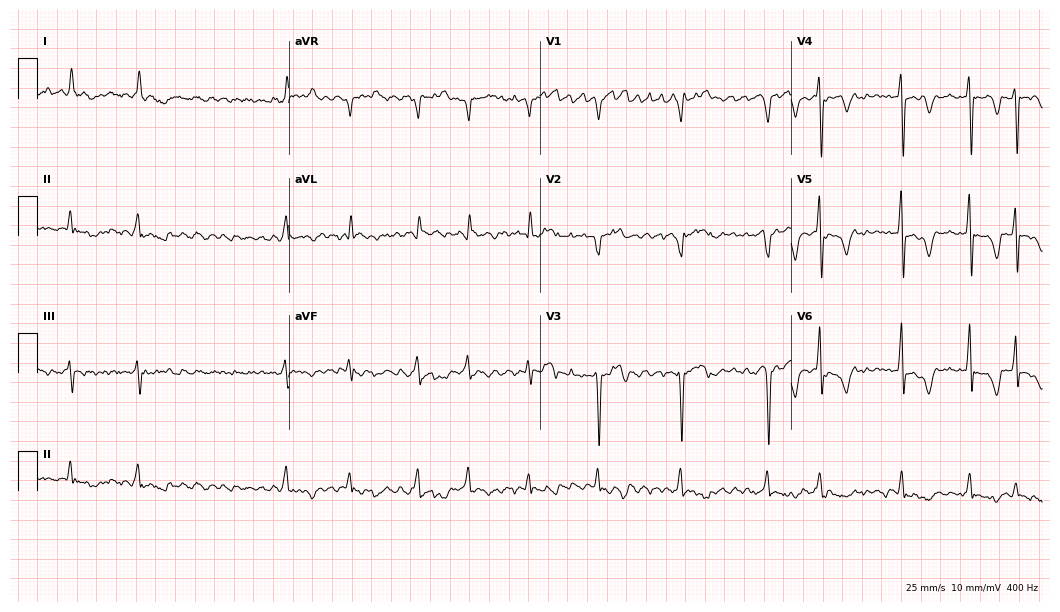
12-lead ECG from a male patient, 52 years old (10.2-second recording at 400 Hz). No first-degree AV block, right bundle branch block (RBBB), left bundle branch block (LBBB), sinus bradycardia, atrial fibrillation (AF) or sinus tachycardia recorded for this tracing. Only these six findings were labelled.